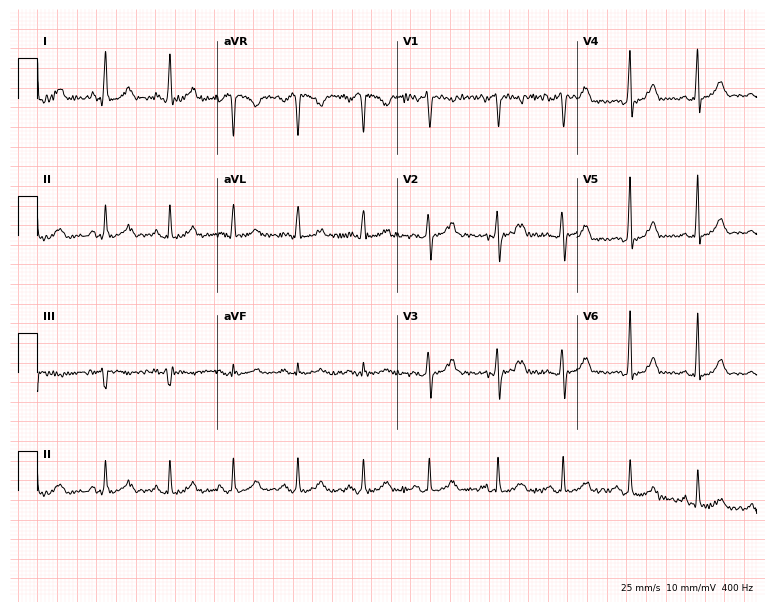
12-lead ECG from a female, 23 years old. Screened for six findings — first-degree AV block, right bundle branch block, left bundle branch block, sinus bradycardia, atrial fibrillation, sinus tachycardia — none is recorded.